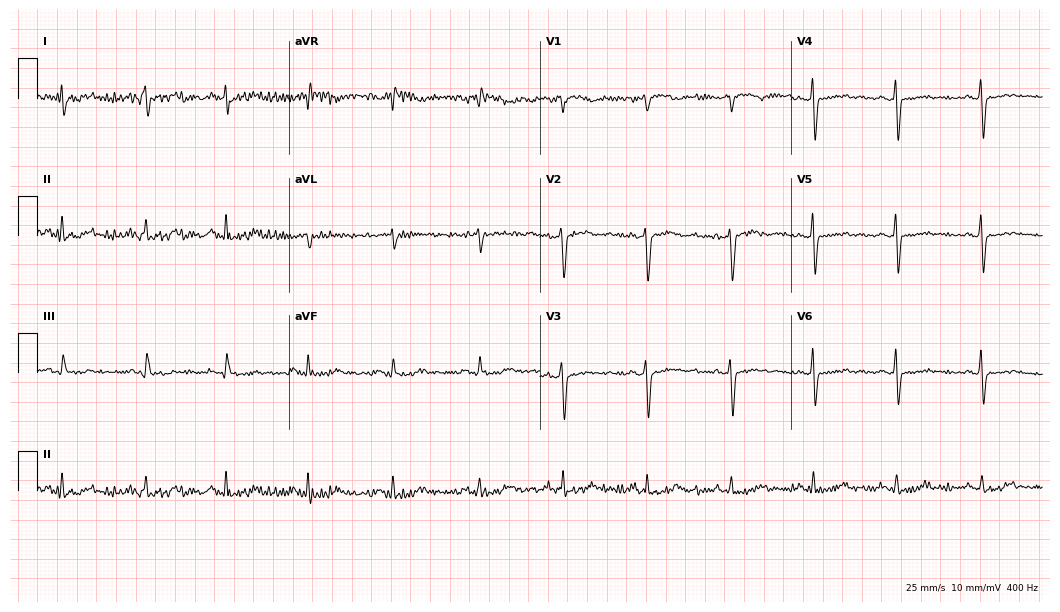
ECG (10.2-second recording at 400 Hz) — a 47-year-old man. Screened for six findings — first-degree AV block, right bundle branch block (RBBB), left bundle branch block (LBBB), sinus bradycardia, atrial fibrillation (AF), sinus tachycardia — none is recorded.